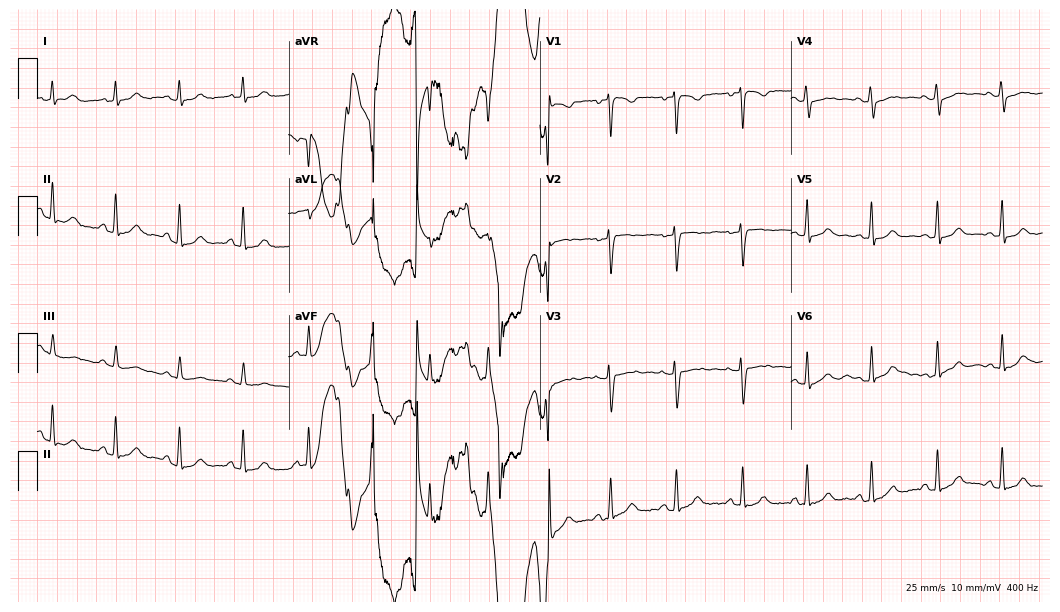
Electrocardiogram (10.2-second recording at 400 Hz), a 31-year-old female. Overall reading on record: normal ECG.